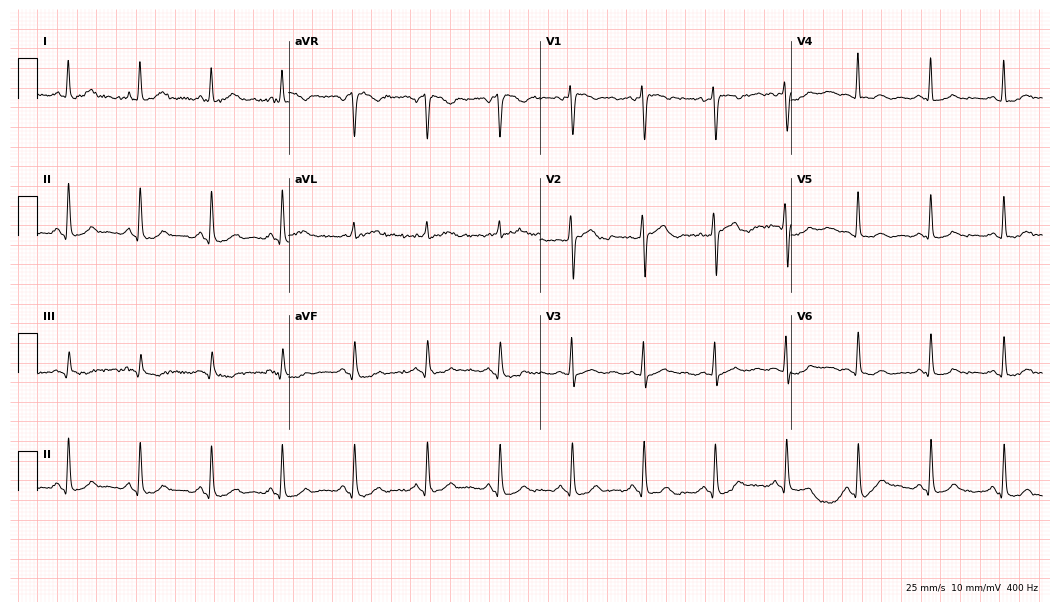
Resting 12-lead electrocardiogram (10.2-second recording at 400 Hz). Patient: a 54-year-old female. None of these six findings is recorded: first-degree AV block, right bundle branch block, left bundle branch block, sinus bradycardia, atrial fibrillation, sinus tachycardia. Other findings, if any, are not listed.